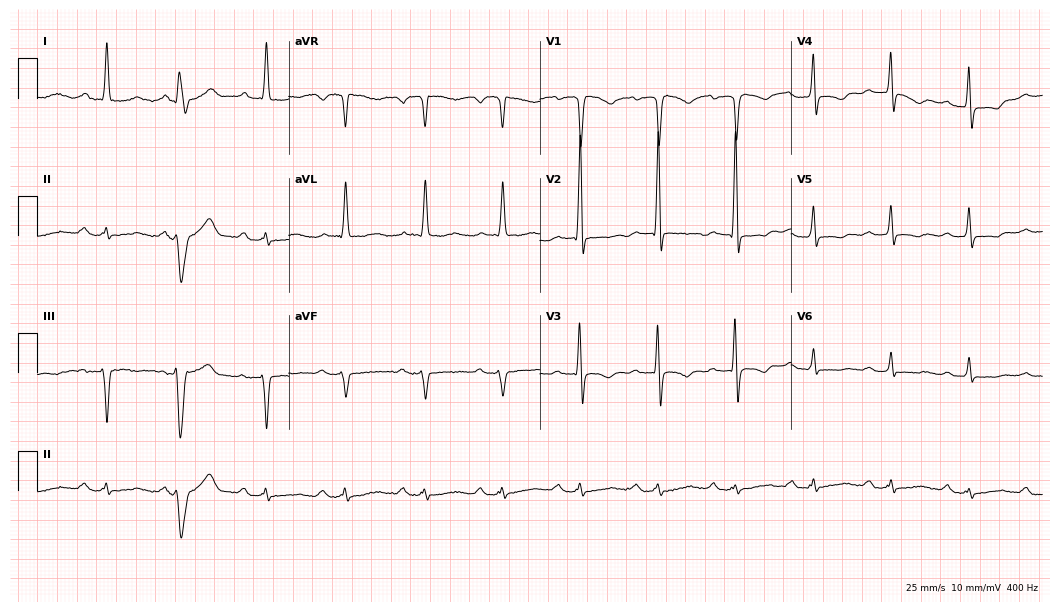
12-lead ECG from an 81-year-old woman. No first-degree AV block, right bundle branch block, left bundle branch block, sinus bradycardia, atrial fibrillation or sinus tachycardia recorded for this tracing.